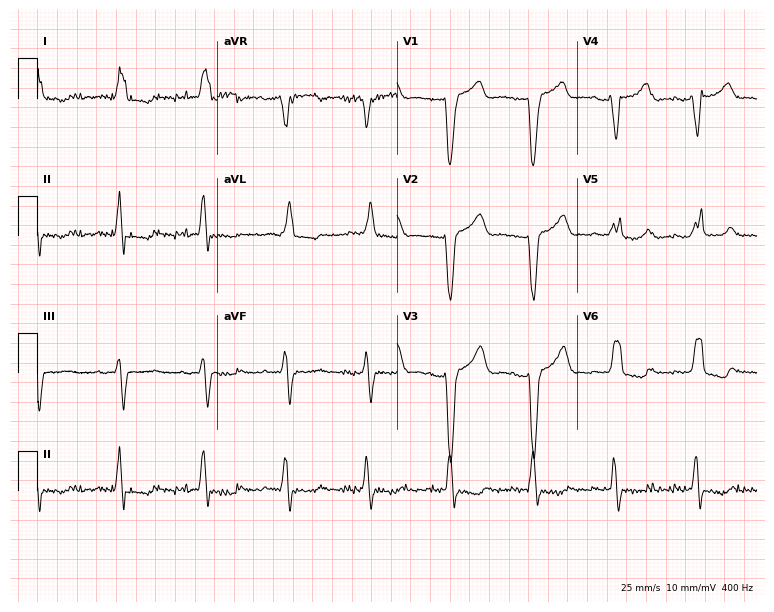
12-lead ECG from a 77-year-old woman. Findings include left bundle branch block.